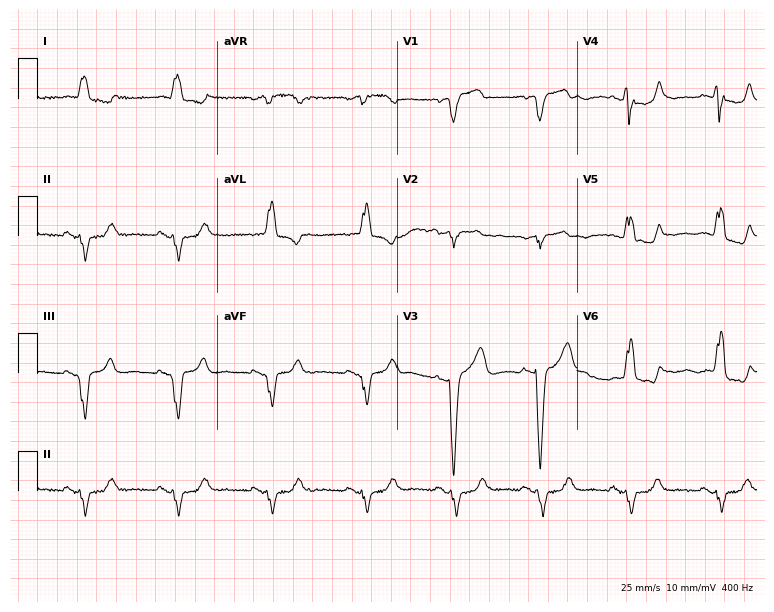
12-lead ECG from an 80-year-old man (7.3-second recording at 400 Hz). Shows left bundle branch block (LBBB).